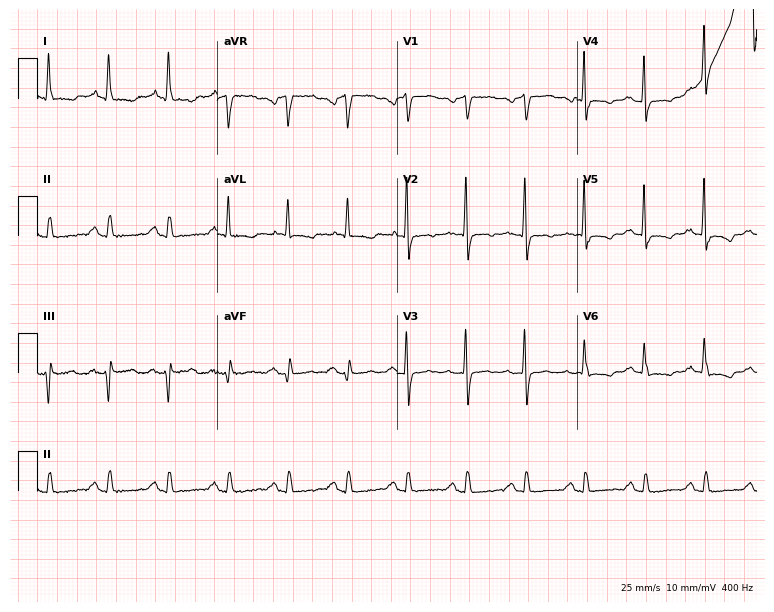
Standard 12-lead ECG recorded from a 73-year-old woman. None of these six findings is recorded: first-degree AV block, right bundle branch block, left bundle branch block, sinus bradycardia, atrial fibrillation, sinus tachycardia.